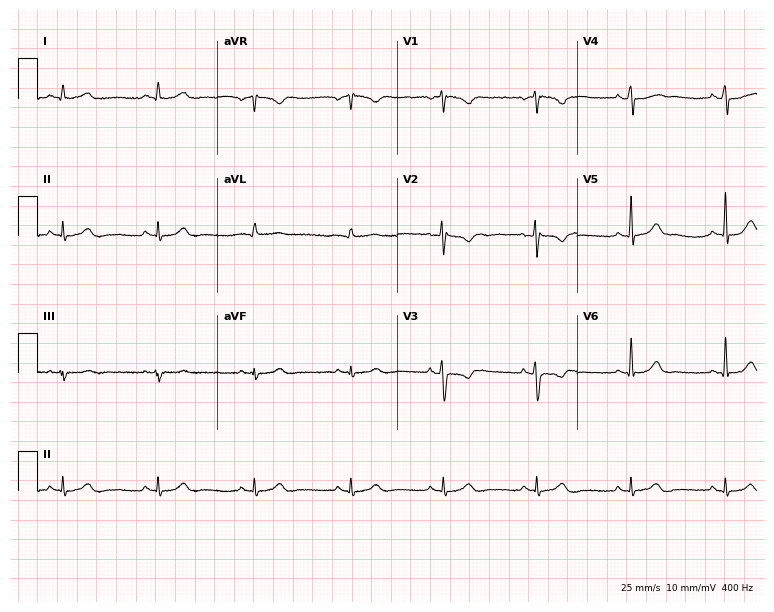
Electrocardiogram (7.3-second recording at 400 Hz), a 34-year-old female. Of the six screened findings (first-degree AV block, right bundle branch block (RBBB), left bundle branch block (LBBB), sinus bradycardia, atrial fibrillation (AF), sinus tachycardia), none is recorded.